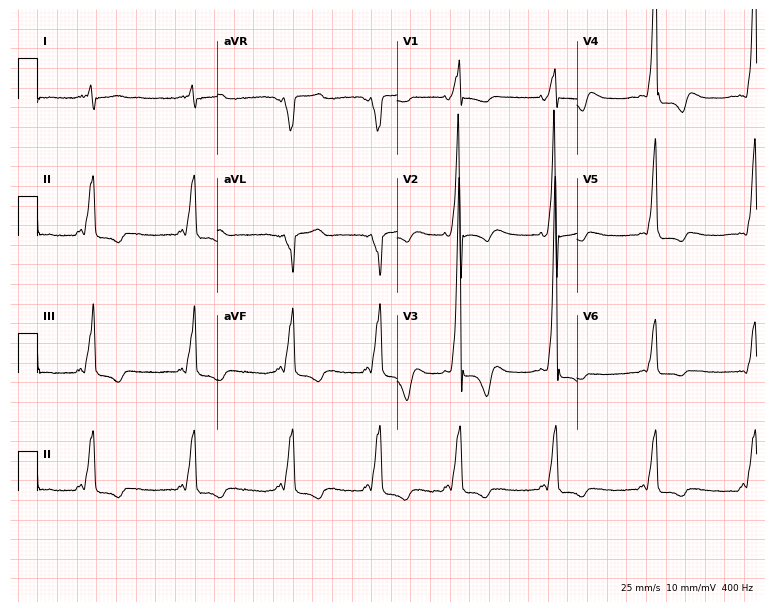
12-lead ECG from a male patient, 20 years old. No first-degree AV block, right bundle branch block, left bundle branch block, sinus bradycardia, atrial fibrillation or sinus tachycardia recorded for this tracing.